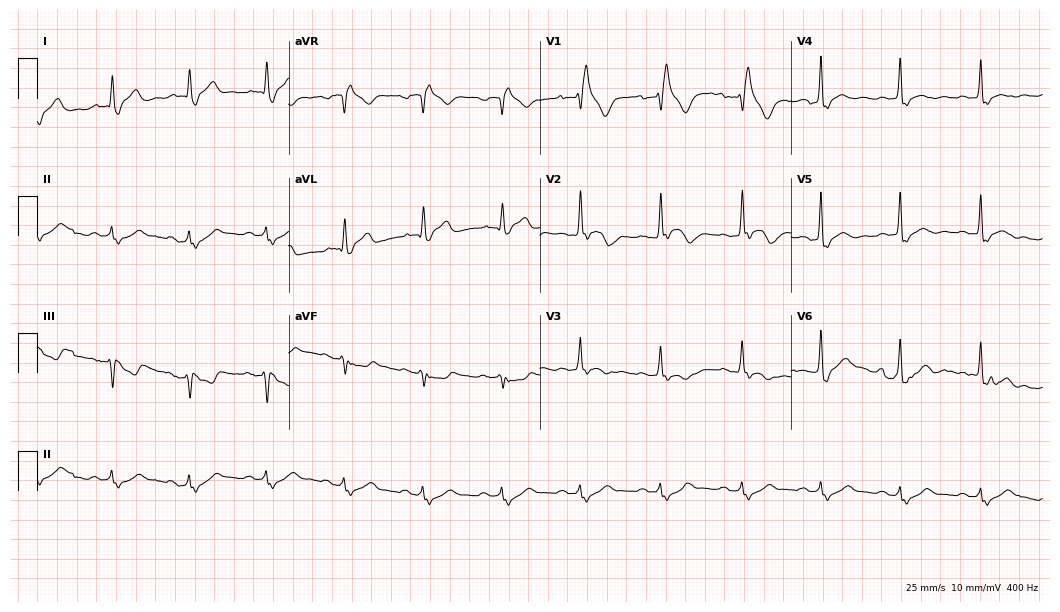
Resting 12-lead electrocardiogram (10.2-second recording at 400 Hz). Patient: a 63-year-old man. The tracing shows right bundle branch block.